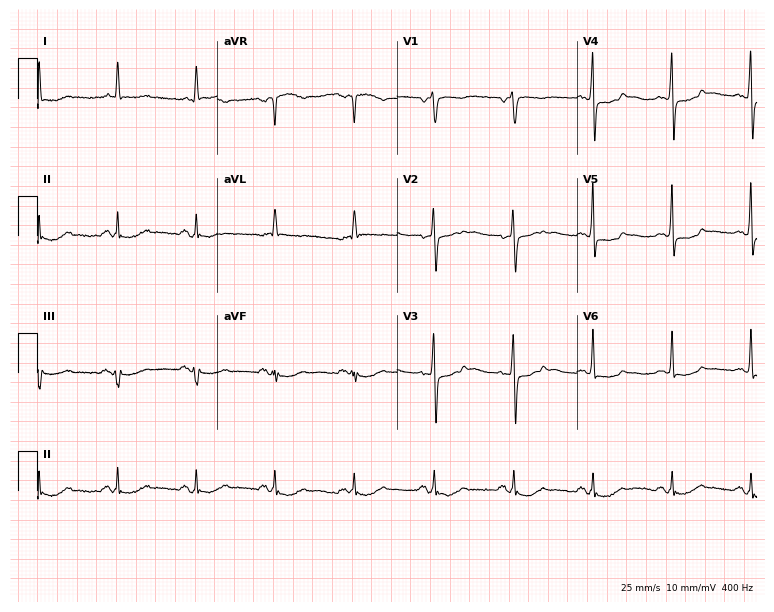
Electrocardiogram (7.3-second recording at 400 Hz), a man, 65 years old. Of the six screened findings (first-degree AV block, right bundle branch block, left bundle branch block, sinus bradycardia, atrial fibrillation, sinus tachycardia), none is recorded. Findings outside these six are not listed.